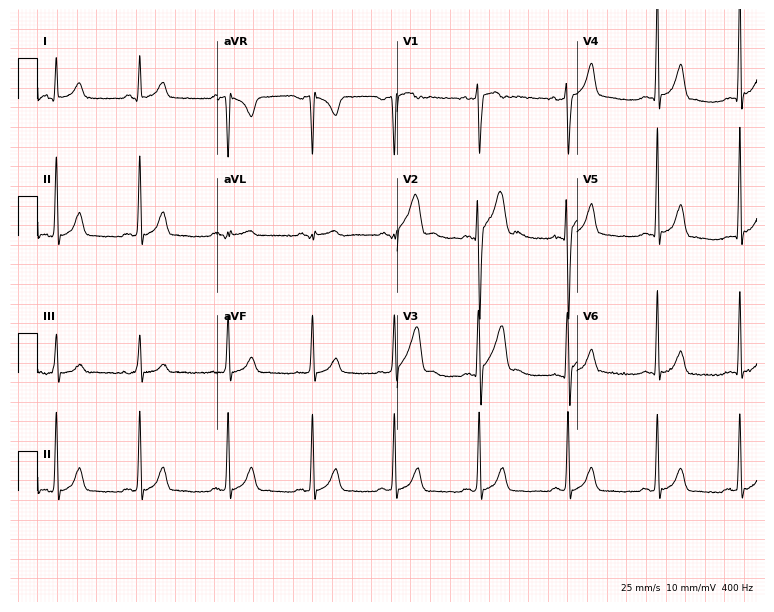
Electrocardiogram, a male, 19 years old. Overall reading on record: normal ECG.